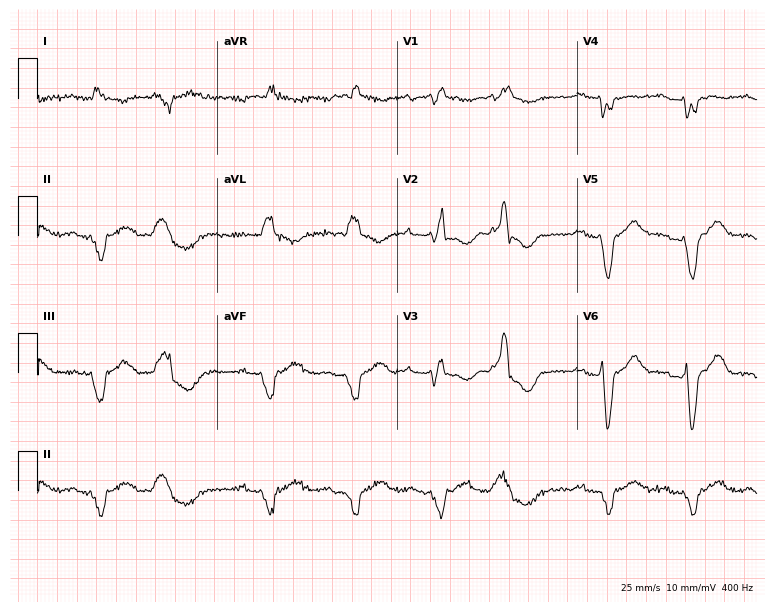
12-lead ECG from a 38-year-old male (7.3-second recording at 400 Hz). Shows right bundle branch block (RBBB).